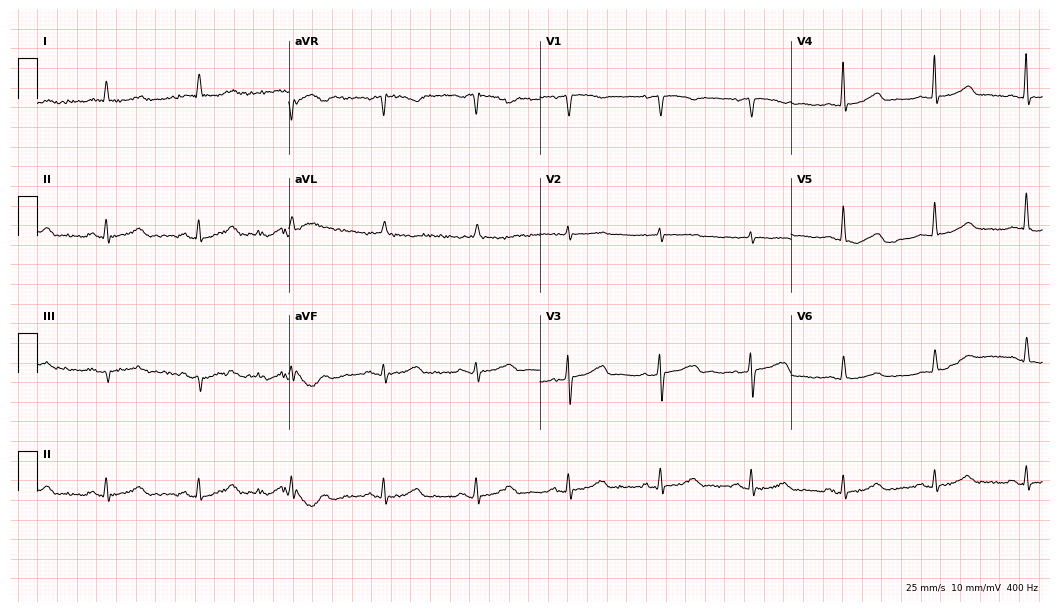
Resting 12-lead electrocardiogram (10.2-second recording at 400 Hz). Patient: an 82-year-old female. Read as a normal ECG.